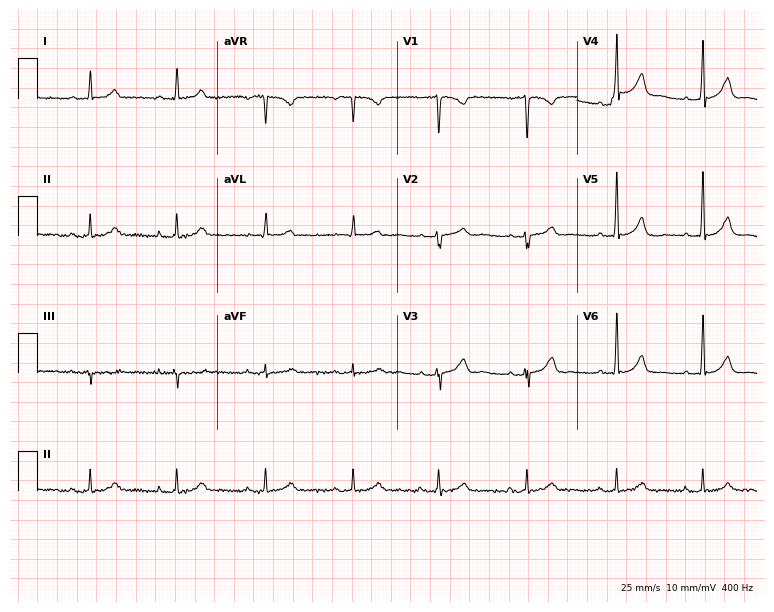
12-lead ECG from a woman, 42 years old (7.3-second recording at 400 Hz). Recorded interpretation: within normal limits.